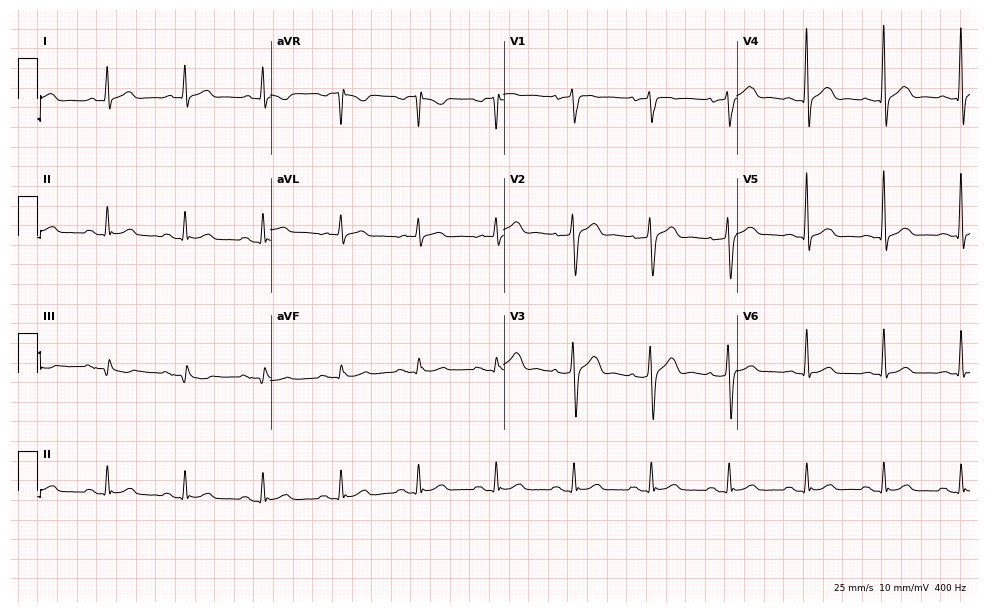
12-lead ECG (9.5-second recording at 400 Hz) from a 66-year-old man. Screened for six findings — first-degree AV block, right bundle branch block, left bundle branch block, sinus bradycardia, atrial fibrillation, sinus tachycardia — none is recorded.